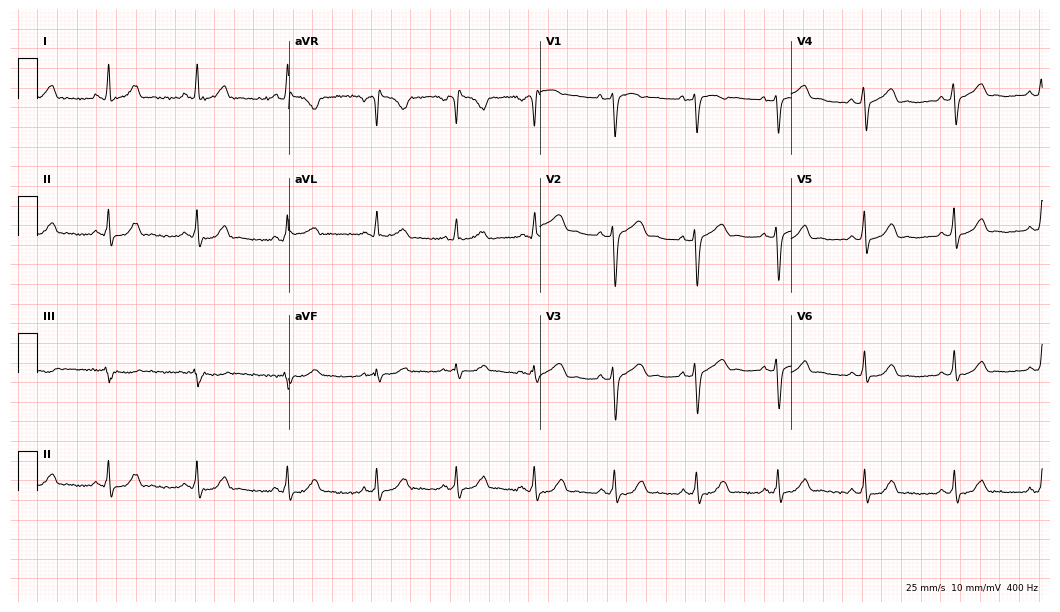
Electrocardiogram (10.2-second recording at 400 Hz), a 39-year-old female patient. Overall reading on record: normal ECG.